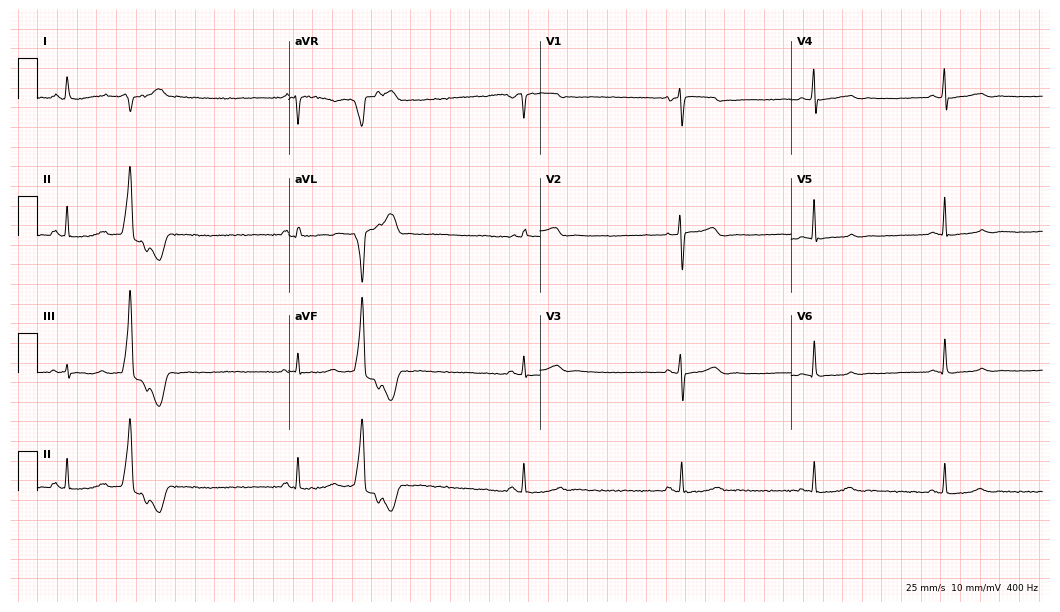
ECG — an 82-year-old man. Findings include sinus bradycardia (a sinus rate of 50 beats per minute or less).